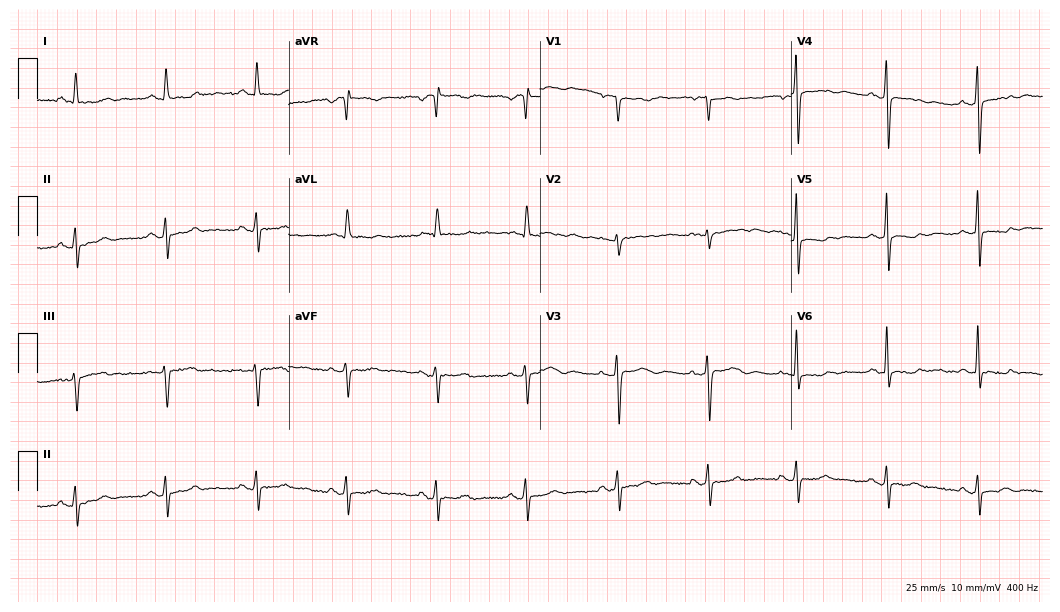
Resting 12-lead electrocardiogram (10.2-second recording at 400 Hz). Patient: a 68-year-old female. None of these six findings is recorded: first-degree AV block, right bundle branch block, left bundle branch block, sinus bradycardia, atrial fibrillation, sinus tachycardia.